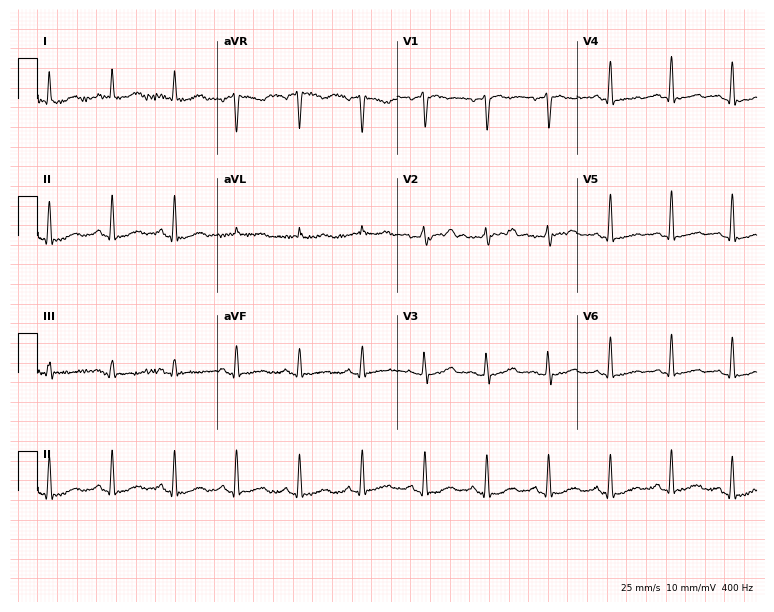
Resting 12-lead electrocardiogram. Patient: a 63-year-old woman. None of these six findings is recorded: first-degree AV block, right bundle branch block (RBBB), left bundle branch block (LBBB), sinus bradycardia, atrial fibrillation (AF), sinus tachycardia.